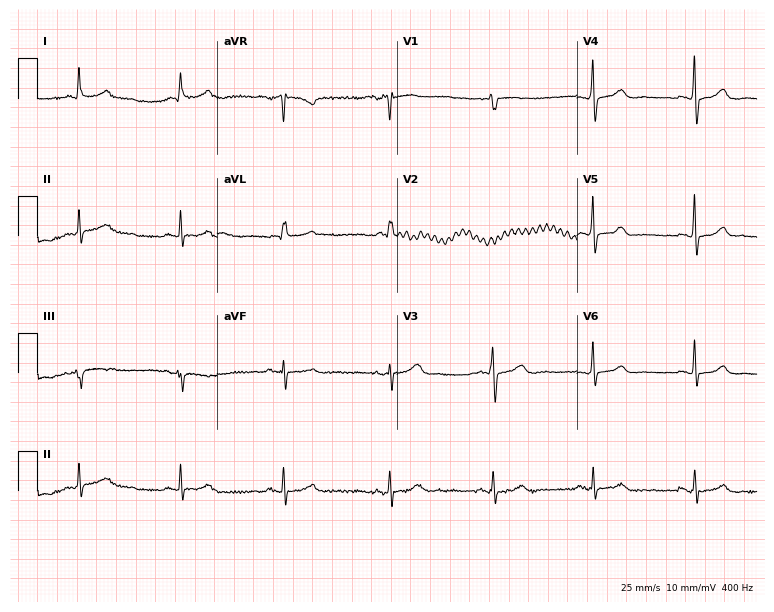
Resting 12-lead electrocardiogram (7.3-second recording at 400 Hz). Patient: an 85-year-old woman. Read as a normal ECG.